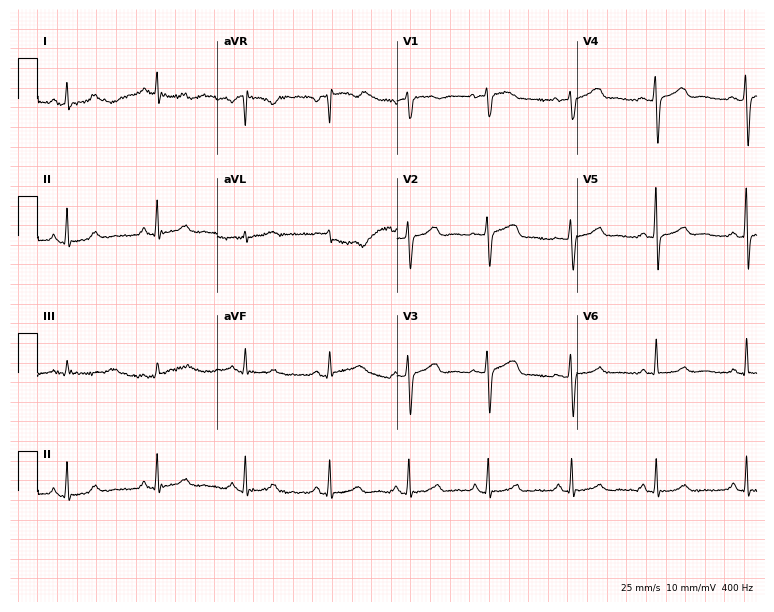
12-lead ECG from a female, 25 years old. Recorded interpretation: within normal limits.